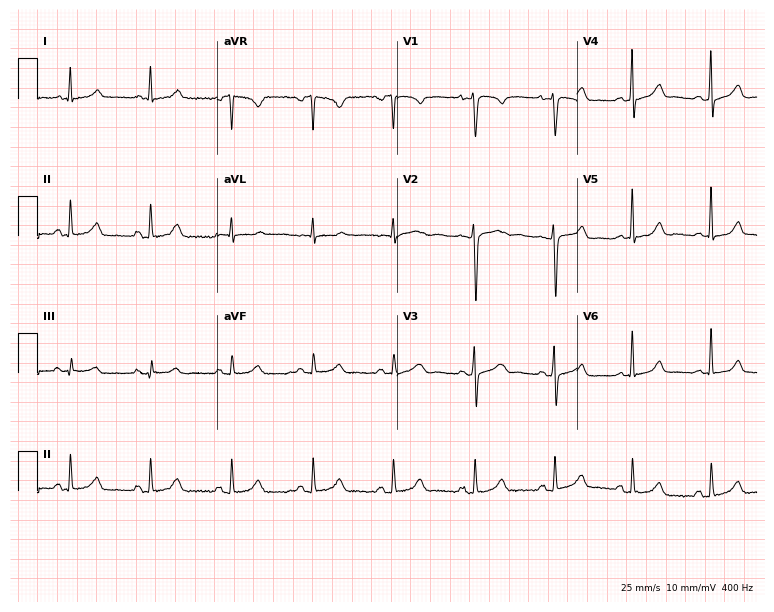
12-lead ECG from a female, 19 years old. Labelled as a normal ECG.